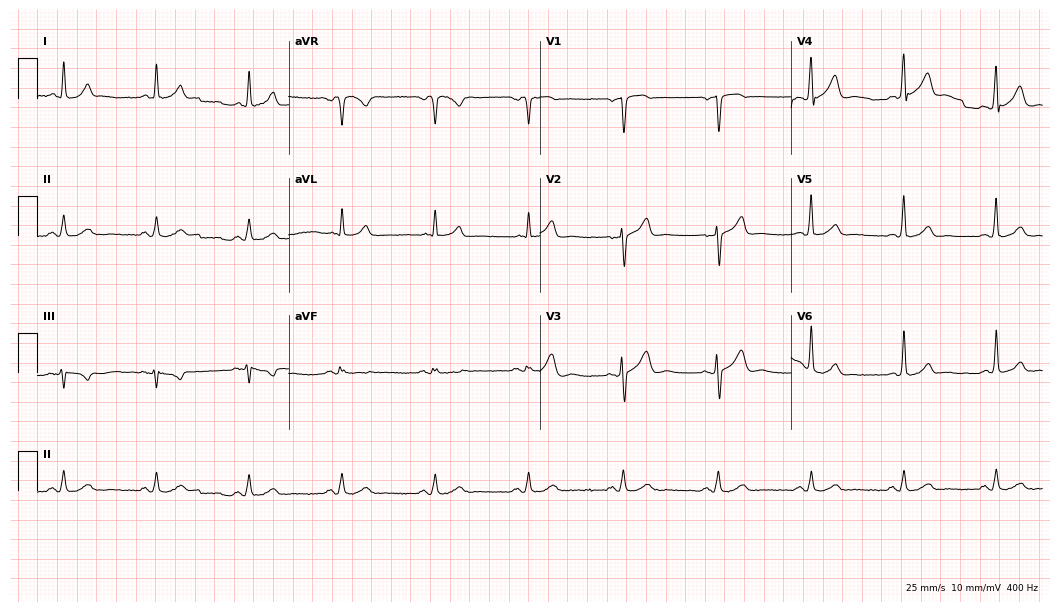
ECG (10.2-second recording at 400 Hz) — a 60-year-old man. Labelled as a normal ECG.